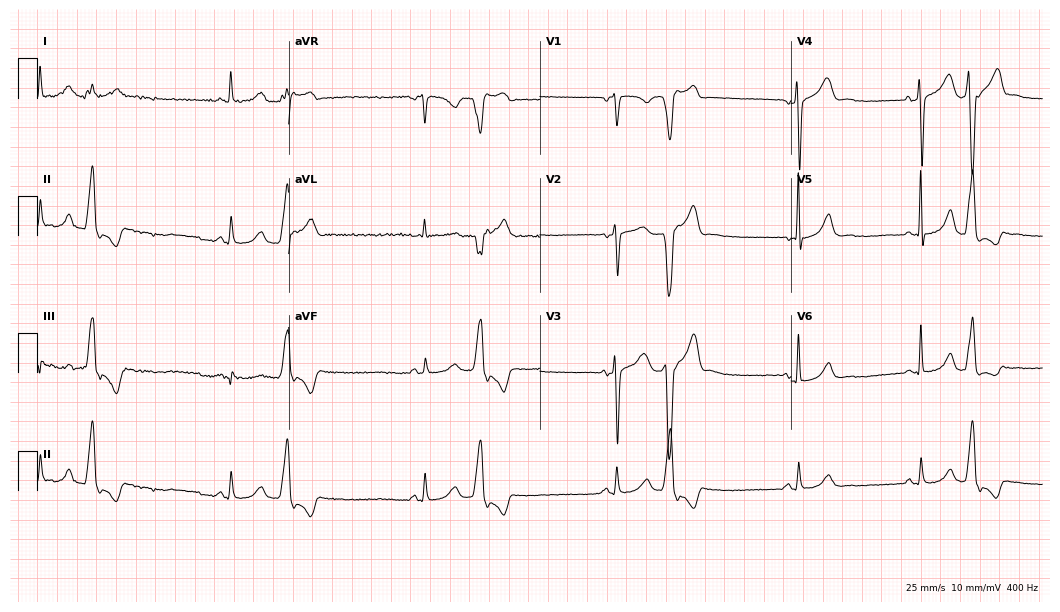
Electrocardiogram (10.2-second recording at 400 Hz), a female patient, 53 years old. Of the six screened findings (first-degree AV block, right bundle branch block (RBBB), left bundle branch block (LBBB), sinus bradycardia, atrial fibrillation (AF), sinus tachycardia), none is recorded. Findings outside these six are not listed.